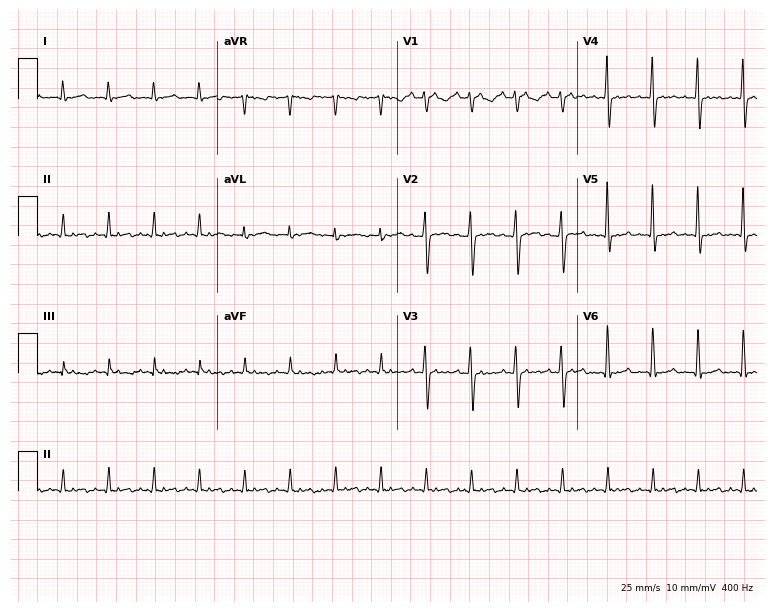
12-lead ECG from a male patient, 84 years old. No first-degree AV block, right bundle branch block, left bundle branch block, sinus bradycardia, atrial fibrillation or sinus tachycardia recorded for this tracing. Other findings, if any, are not listed.